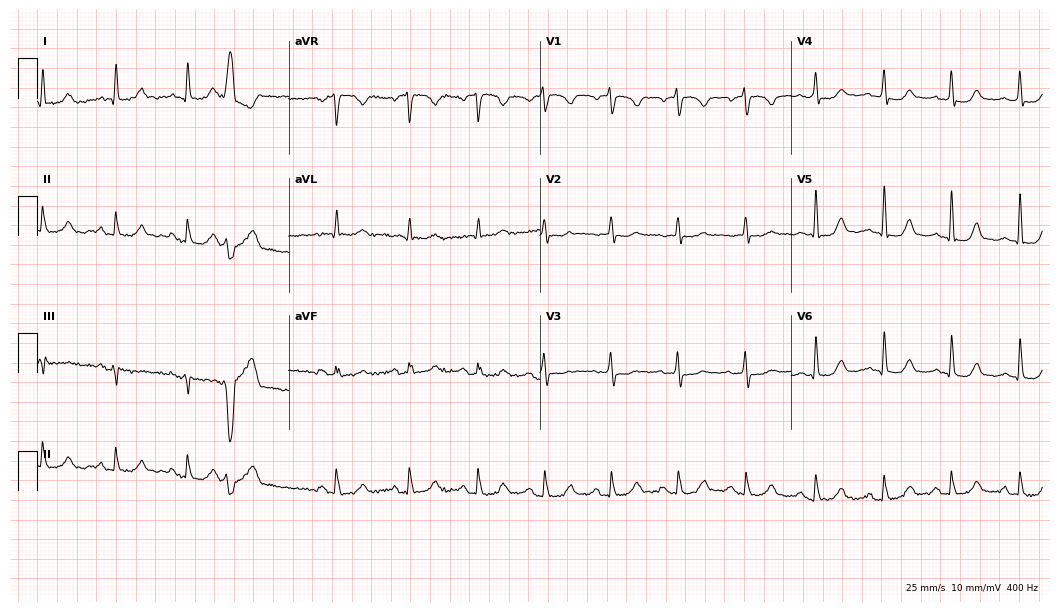
12-lead ECG from an 85-year-old female patient. Labelled as a normal ECG.